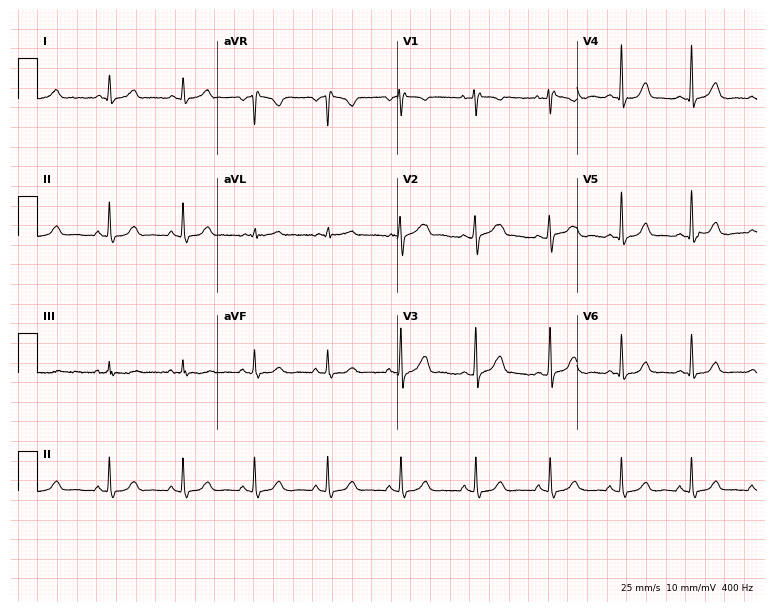
Electrocardiogram (7.3-second recording at 400 Hz), a 44-year-old female. Overall reading on record: normal ECG.